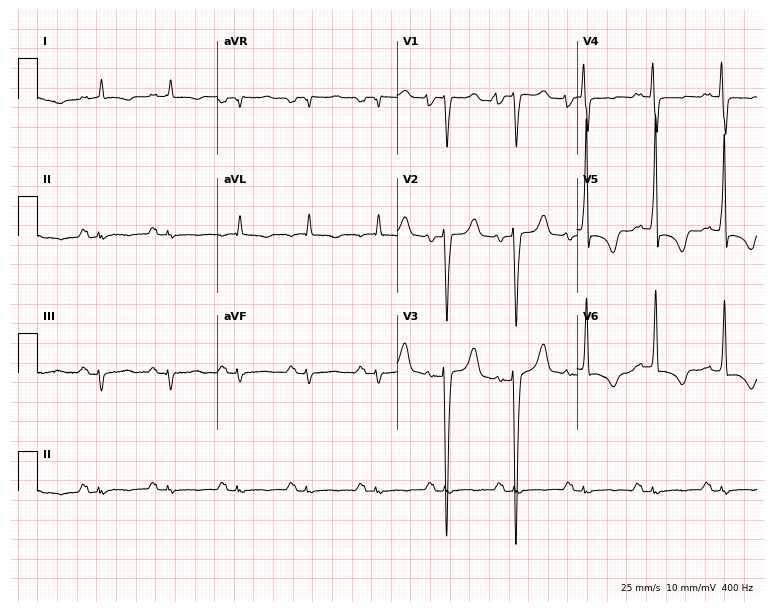
12-lead ECG (7.3-second recording at 400 Hz) from a man, 65 years old. Screened for six findings — first-degree AV block, right bundle branch block, left bundle branch block, sinus bradycardia, atrial fibrillation, sinus tachycardia — none is recorded.